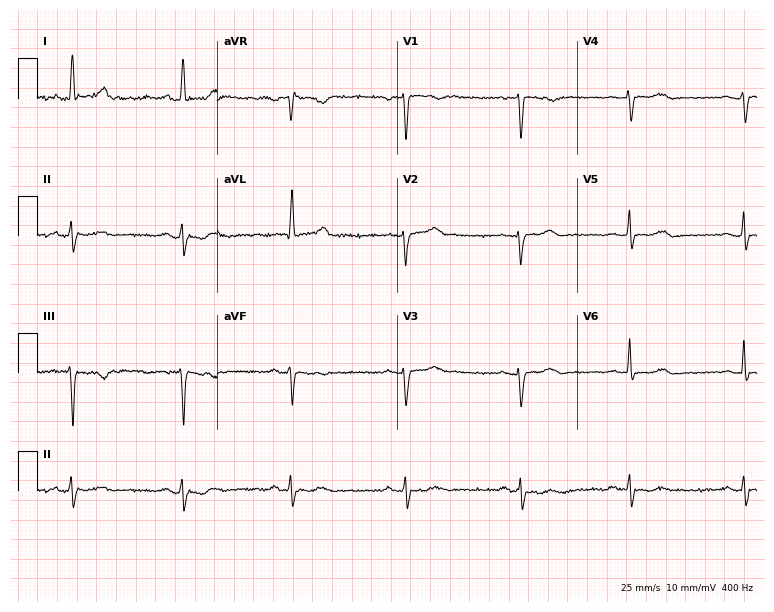
12-lead ECG from a 71-year-old female patient. No first-degree AV block, right bundle branch block, left bundle branch block, sinus bradycardia, atrial fibrillation or sinus tachycardia recorded for this tracing. Other findings, if any, are not listed.